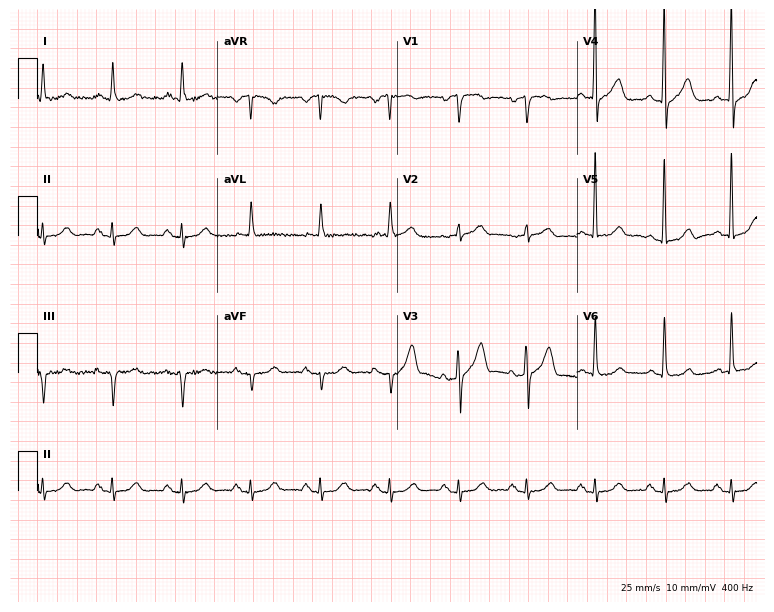
Resting 12-lead electrocardiogram. Patient: a 75-year-old male. None of these six findings is recorded: first-degree AV block, right bundle branch block, left bundle branch block, sinus bradycardia, atrial fibrillation, sinus tachycardia.